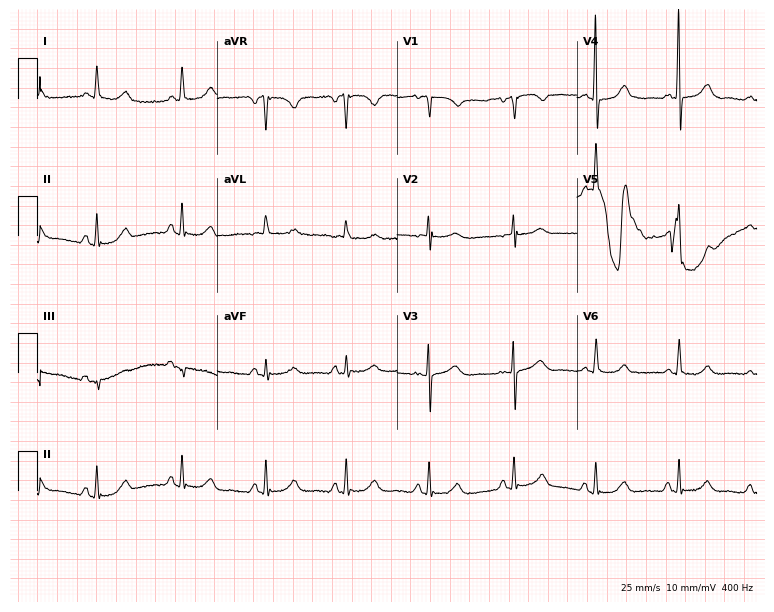
Electrocardiogram, a 73-year-old woman. Of the six screened findings (first-degree AV block, right bundle branch block (RBBB), left bundle branch block (LBBB), sinus bradycardia, atrial fibrillation (AF), sinus tachycardia), none is recorded. Other findings, if any, are not listed.